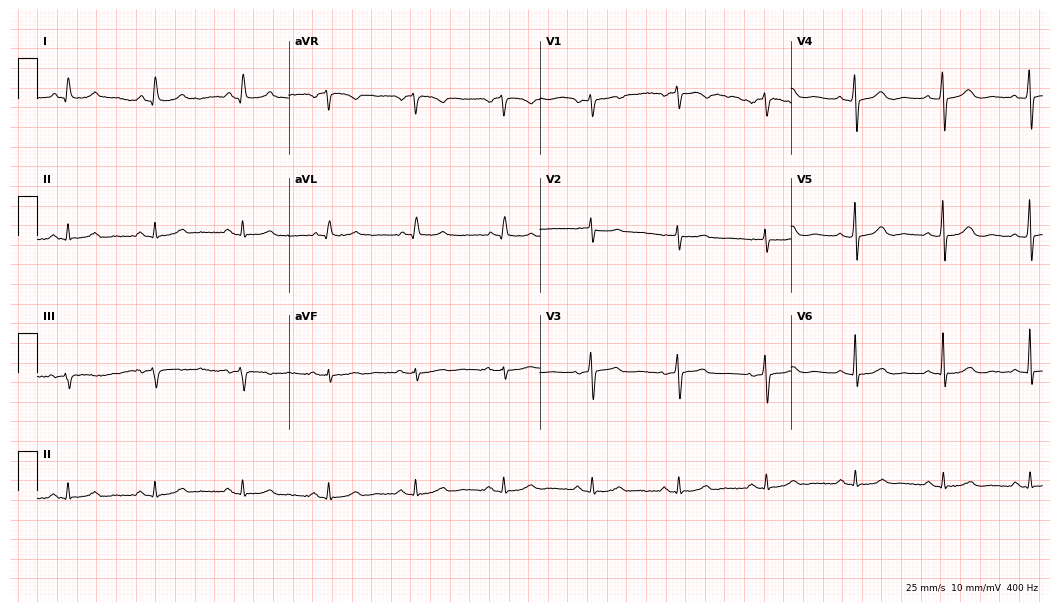
Standard 12-lead ECG recorded from an 81-year-old female. None of these six findings is recorded: first-degree AV block, right bundle branch block (RBBB), left bundle branch block (LBBB), sinus bradycardia, atrial fibrillation (AF), sinus tachycardia.